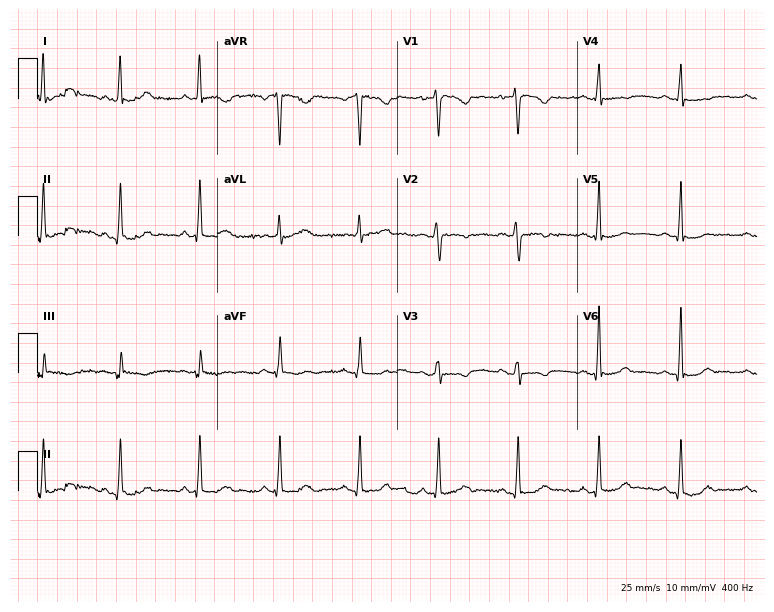
ECG — a 24-year-old female. Screened for six findings — first-degree AV block, right bundle branch block (RBBB), left bundle branch block (LBBB), sinus bradycardia, atrial fibrillation (AF), sinus tachycardia — none is recorded.